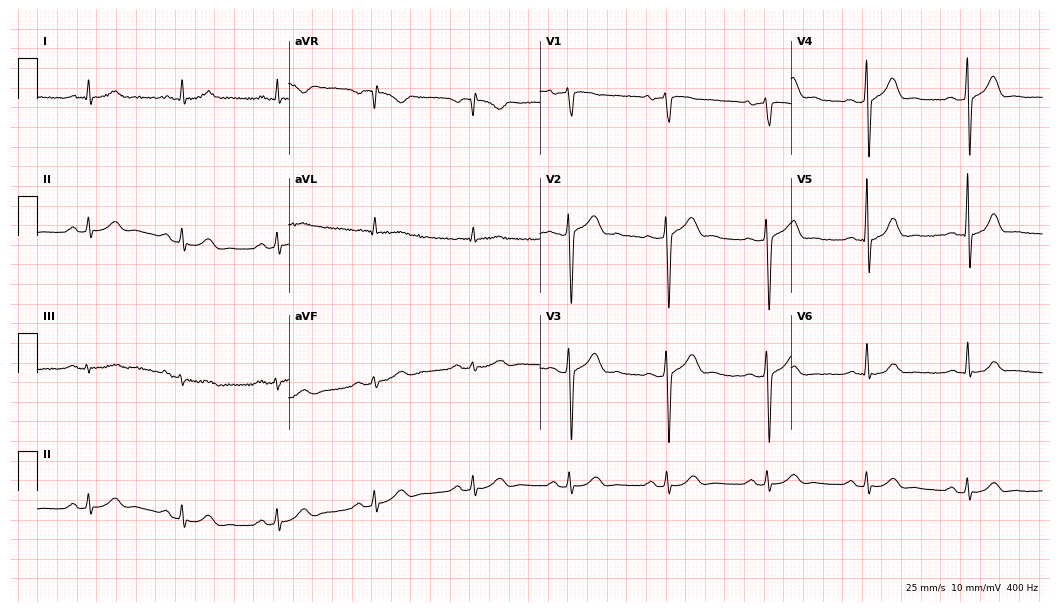
12-lead ECG from a 62-year-old male patient (10.2-second recording at 400 Hz). No first-degree AV block, right bundle branch block, left bundle branch block, sinus bradycardia, atrial fibrillation or sinus tachycardia recorded for this tracing. Other findings, if any, are not listed.